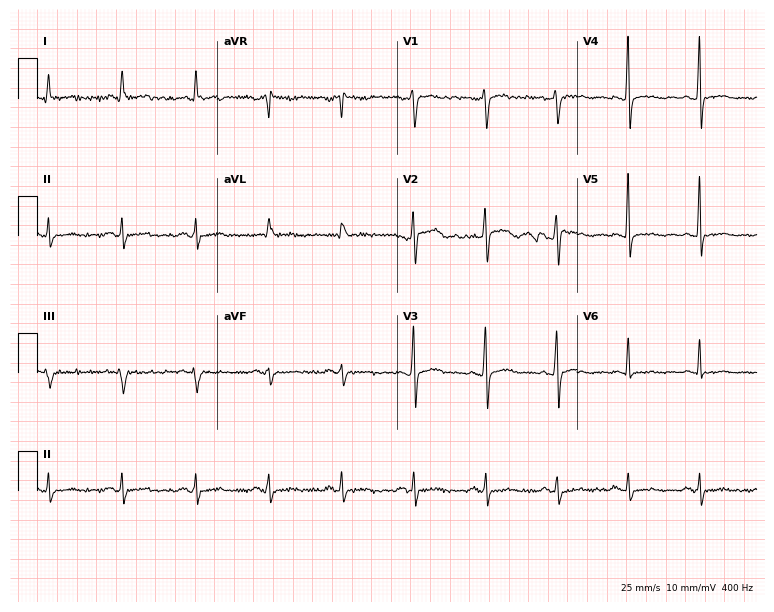
Electrocardiogram (7.3-second recording at 400 Hz), a male patient, 54 years old. Of the six screened findings (first-degree AV block, right bundle branch block, left bundle branch block, sinus bradycardia, atrial fibrillation, sinus tachycardia), none is recorded. Other findings, if any, are not listed.